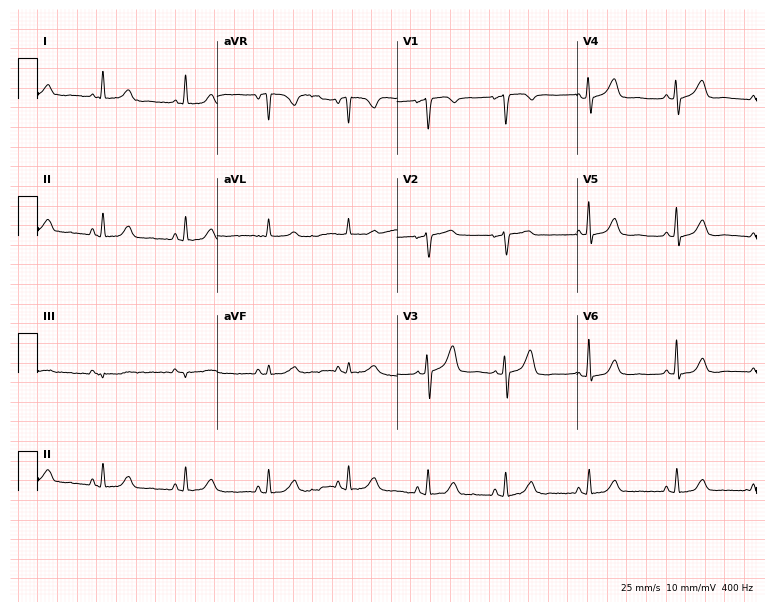
12-lead ECG from a female, 52 years old. Screened for six findings — first-degree AV block, right bundle branch block, left bundle branch block, sinus bradycardia, atrial fibrillation, sinus tachycardia — none is recorded.